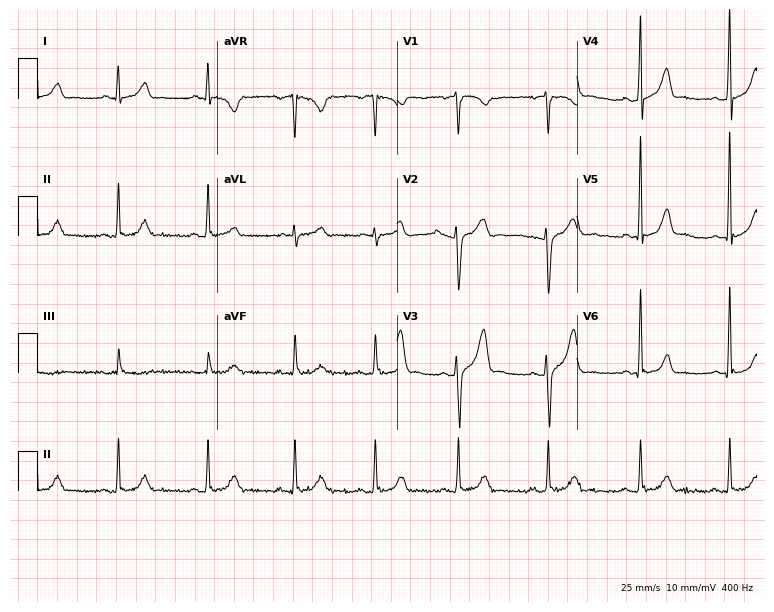
ECG — a 32-year-old male patient. Labelled as a normal ECG.